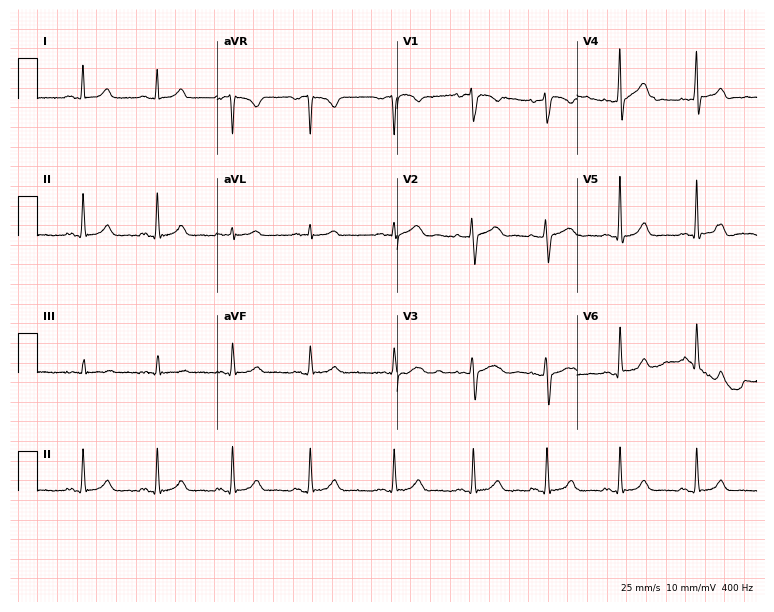
Resting 12-lead electrocardiogram (7.3-second recording at 400 Hz). Patient: a 30-year-old female. Read as a normal ECG.